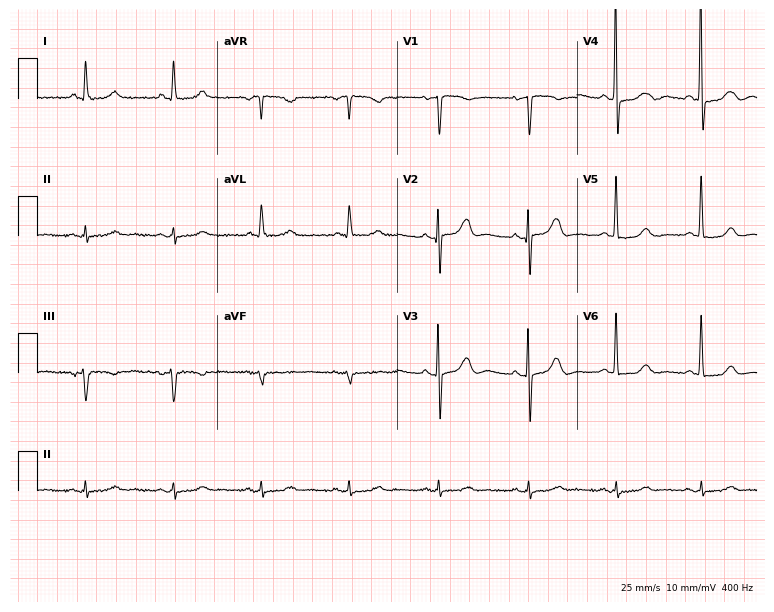
12-lead ECG from a female, 82 years old (7.3-second recording at 400 Hz). No first-degree AV block, right bundle branch block, left bundle branch block, sinus bradycardia, atrial fibrillation or sinus tachycardia recorded for this tracing.